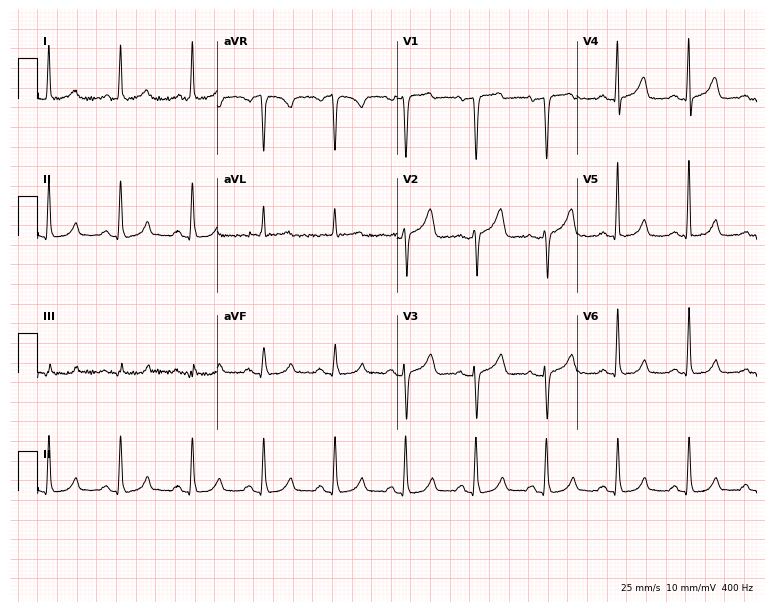
ECG — a 62-year-old female. Labelled as a normal ECG.